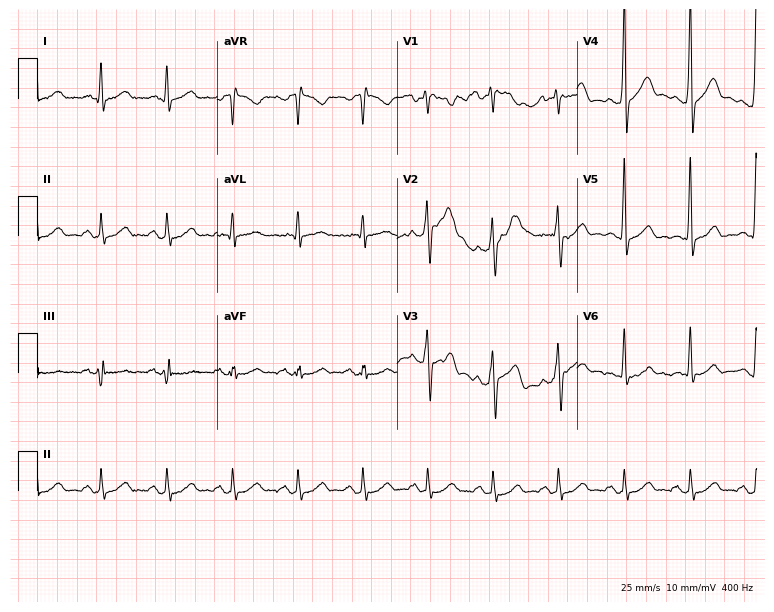
ECG — a male patient, 54 years old. Screened for six findings — first-degree AV block, right bundle branch block, left bundle branch block, sinus bradycardia, atrial fibrillation, sinus tachycardia — none is recorded. Other findings, if any, are not listed.